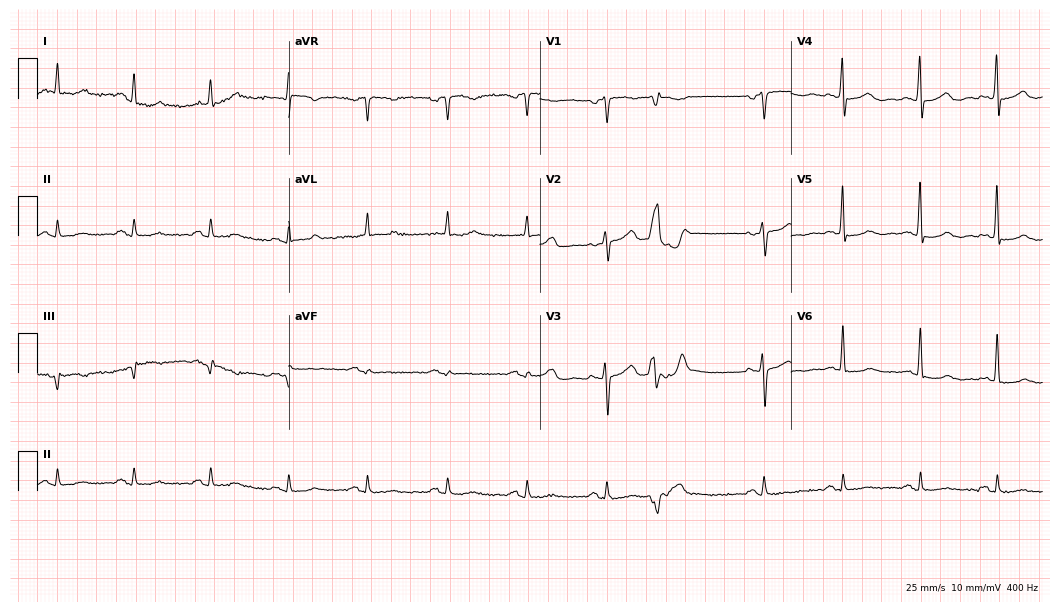
12-lead ECG from an 80-year-old male. No first-degree AV block, right bundle branch block (RBBB), left bundle branch block (LBBB), sinus bradycardia, atrial fibrillation (AF) or sinus tachycardia recorded for this tracing.